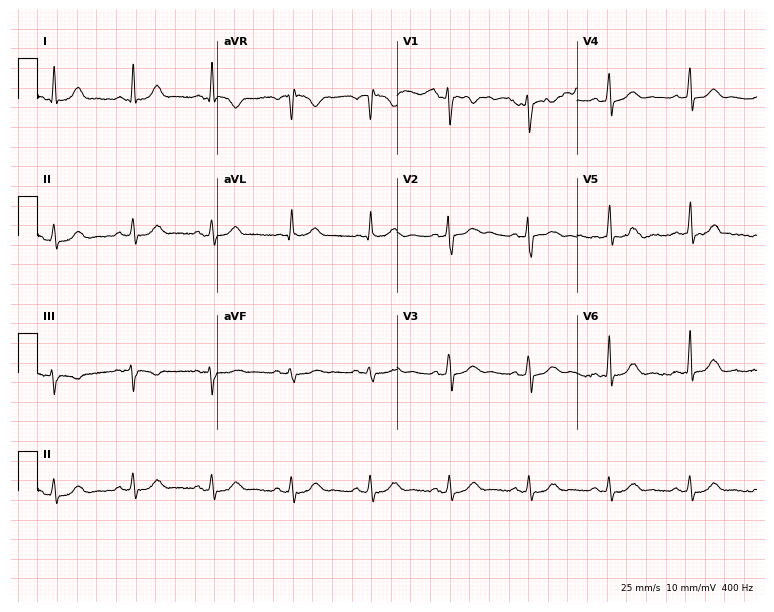
12-lead ECG from a 39-year-old female patient (7.3-second recording at 400 Hz). Recorded interpretation: within normal limits.